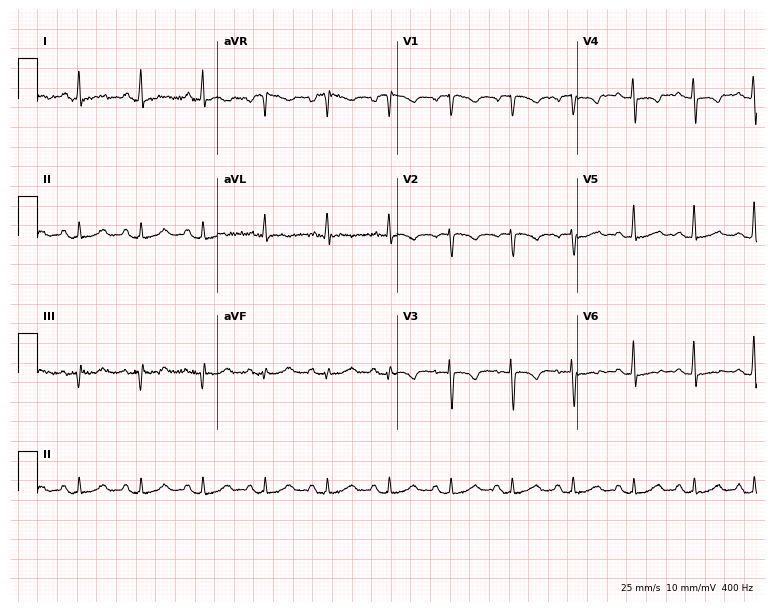
Resting 12-lead electrocardiogram. Patient: a 54-year-old female. None of these six findings is recorded: first-degree AV block, right bundle branch block, left bundle branch block, sinus bradycardia, atrial fibrillation, sinus tachycardia.